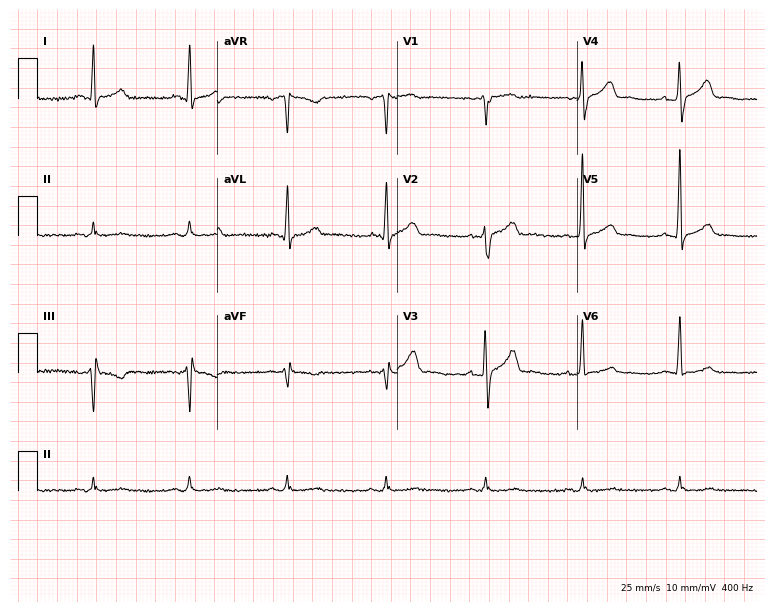
Standard 12-lead ECG recorded from a male patient, 54 years old. None of these six findings is recorded: first-degree AV block, right bundle branch block, left bundle branch block, sinus bradycardia, atrial fibrillation, sinus tachycardia. Findings outside these six are not listed.